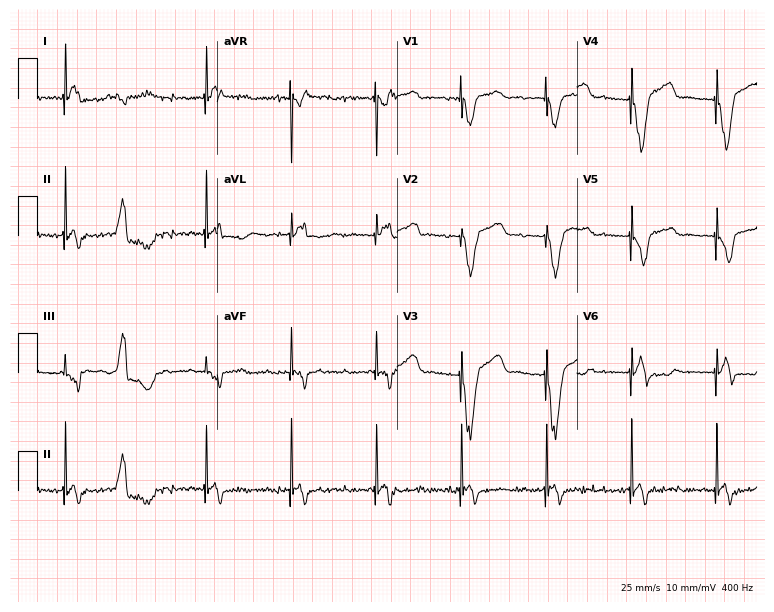
Electrocardiogram (7.3-second recording at 400 Hz), a man, 74 years old. Of the six screened findings (first-degree AV block, right bundle branch block (RBBB), left bundle branch block (LBBB), sinus bradycardia, atrial fibrillation (AF), sinus tachycardia), none is recorded.